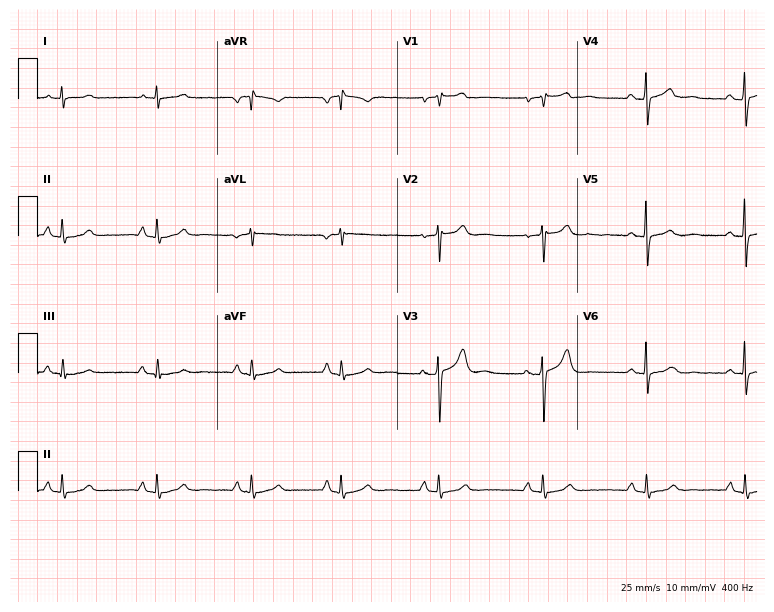
Standard 12-lead ECG recorded from a 42-year-old female (7.3-second recording at 400 Hz). None of these six findings is recorded: first-degree AV block, right bundle branch block, left bundle branch block, sinus bradycardia, atrial fibrillation, sinus tachycardia. Other findings, if any, are not listed.